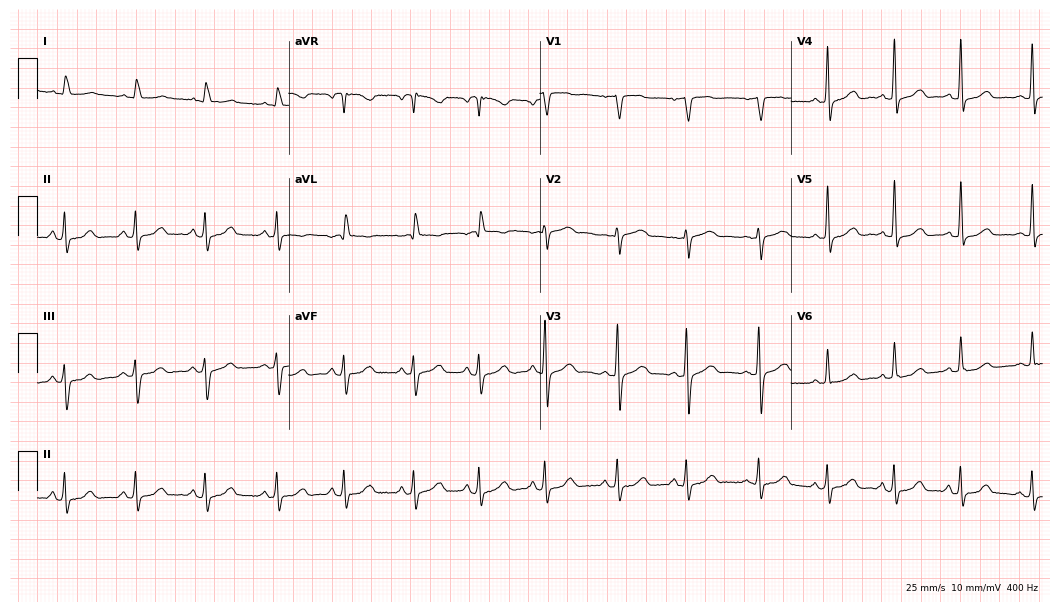
12-lead ECG from an 81-year-old female. Labelled as a normal ECG.